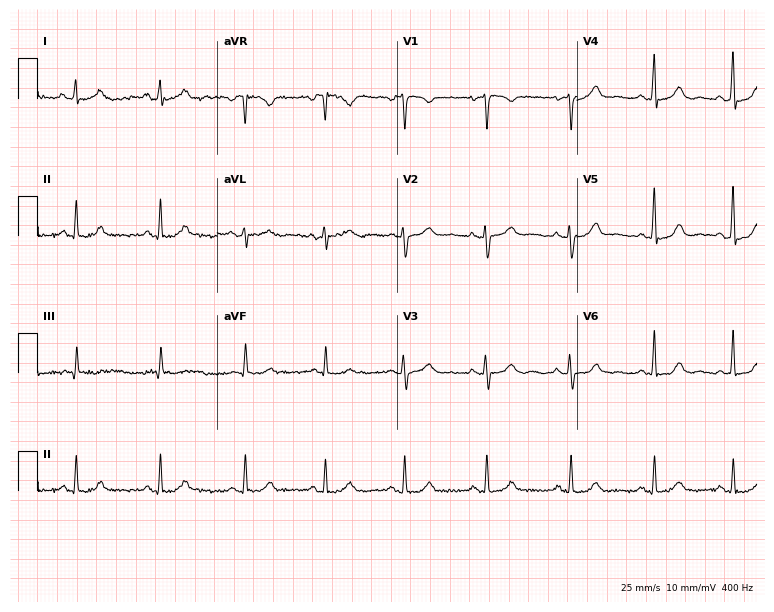
12-lead ECG from a 39-year-old female. No first-degree AV block, right bundle branch block, left bundle branch block, sinus bradycardia, atrial fibrillation or sinus tachycardia recorded for this tracing.